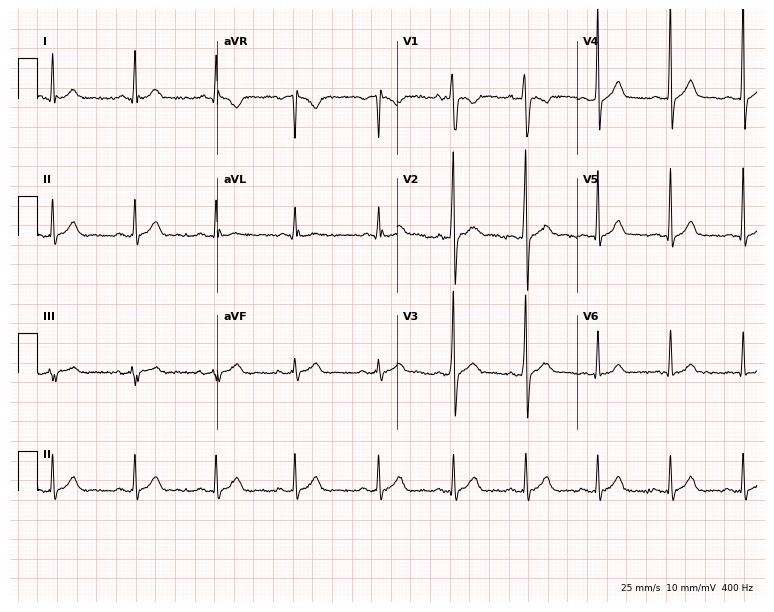
12-lead ECG (7.3-second recording at 400 Hz) from a 20-year-old male patient. Labelled as a normal ECG.